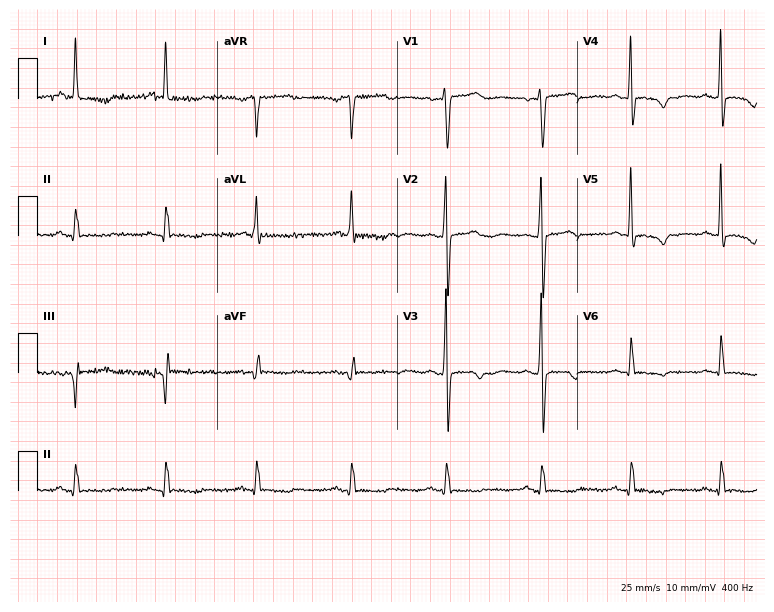
12-lead ECG from a woman, 65 years old. Screened for six findings — first-degree AV block, right bundle branch block, left bundle branch block, sinus bradycardia, atrial fibrillation, sinus tachycardia — none is recorded.